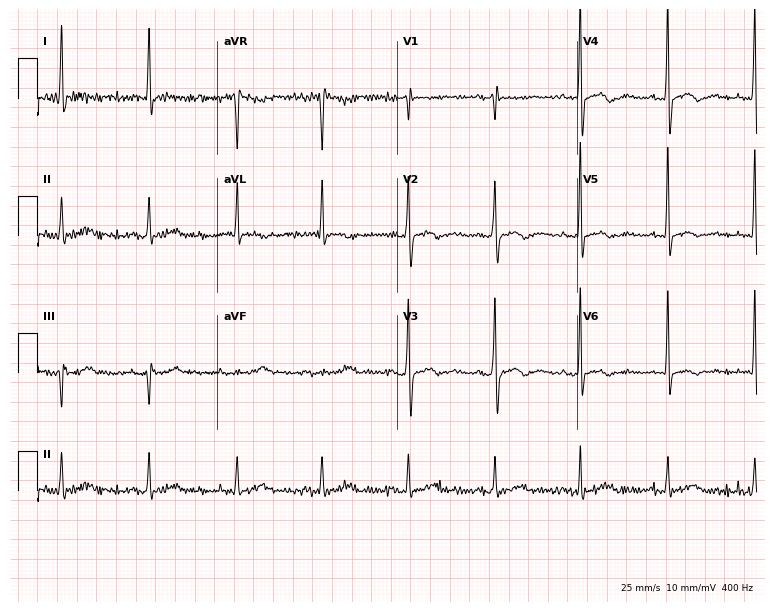
12-lead ECG from a woman, 72 years old. No first-degree AV block, right bundle branch block, left bundle branch block, sinus bradycardia, atrial fibrillation or sinus tachycardia recorded for this tracing.